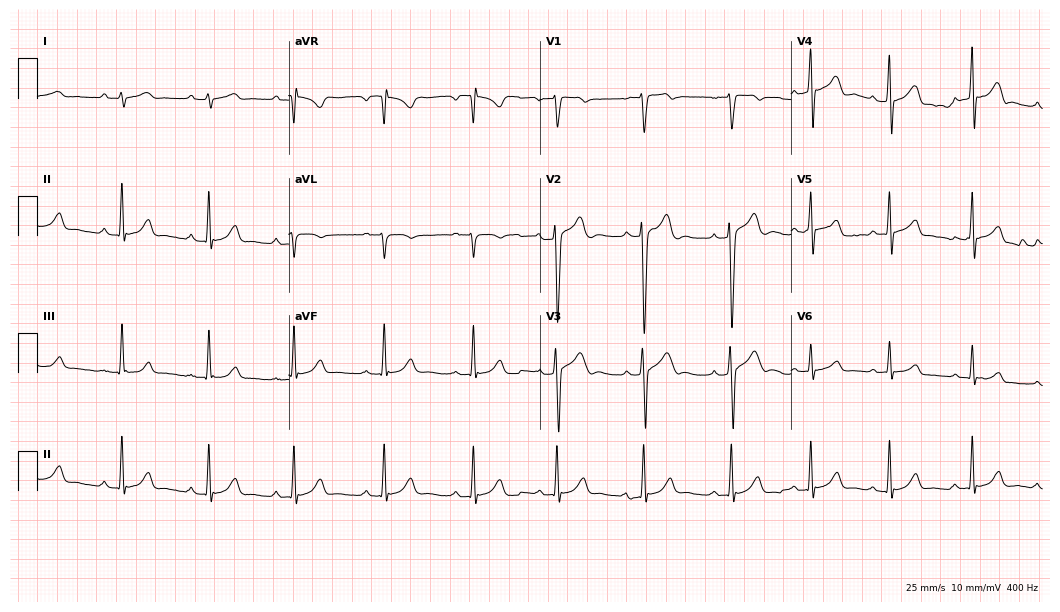
Resting 12-lead electrocardiogram. Patient: a male, 26 years old. None of these six findings is recorded: first-degree AV block, right bundle branch block, left bundle branch block, sinus bradycardia, atrial fibrillation, sinus tachycardia.